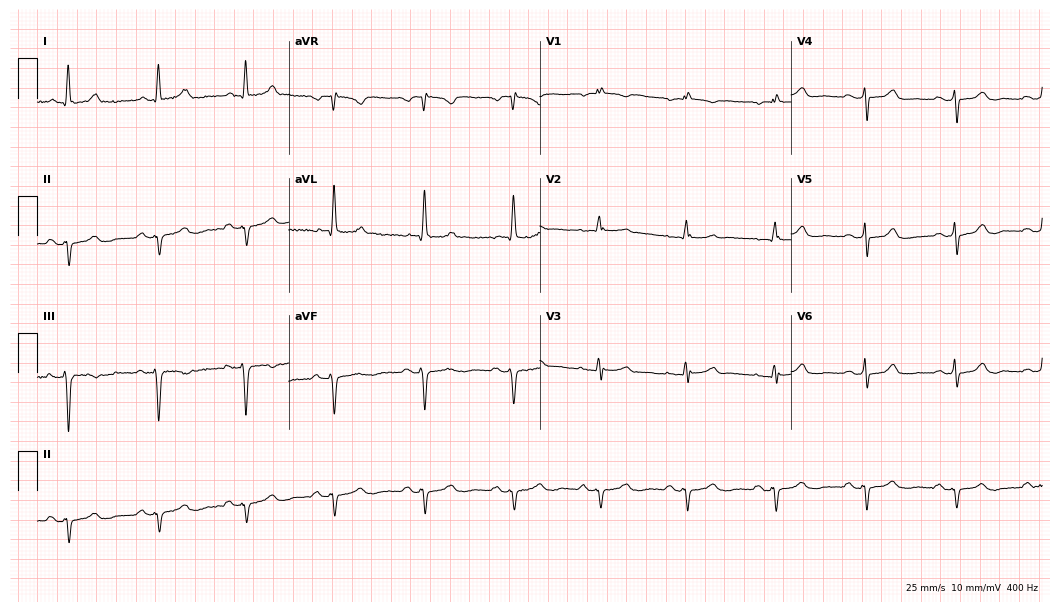
Electrocardiogram (10.2-second recording at 400 Hz), a woman, 64 years old. Of the six screened findings (first-degree AV block, right bundle branch block, left bundle branch block, sinus bradycardia, atrial fibrillation, sinus tachycardia), none is recorded. Only these six findings were labelled.